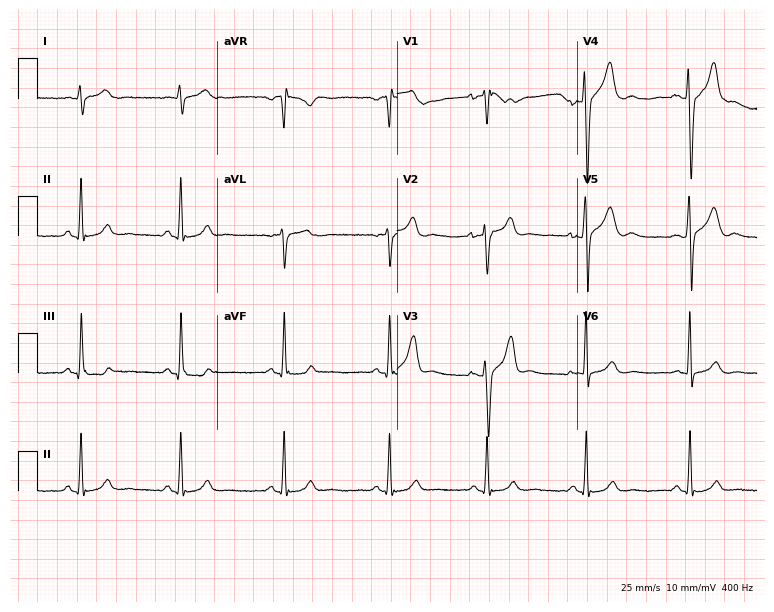
12-lead ECG from a 24-year-old male patient. No first-degree AV block, right bundle branch block, left bundle branch block, sinus bradycardia, atrial fibrillation or sinus tachycardia recorded for this tracing.